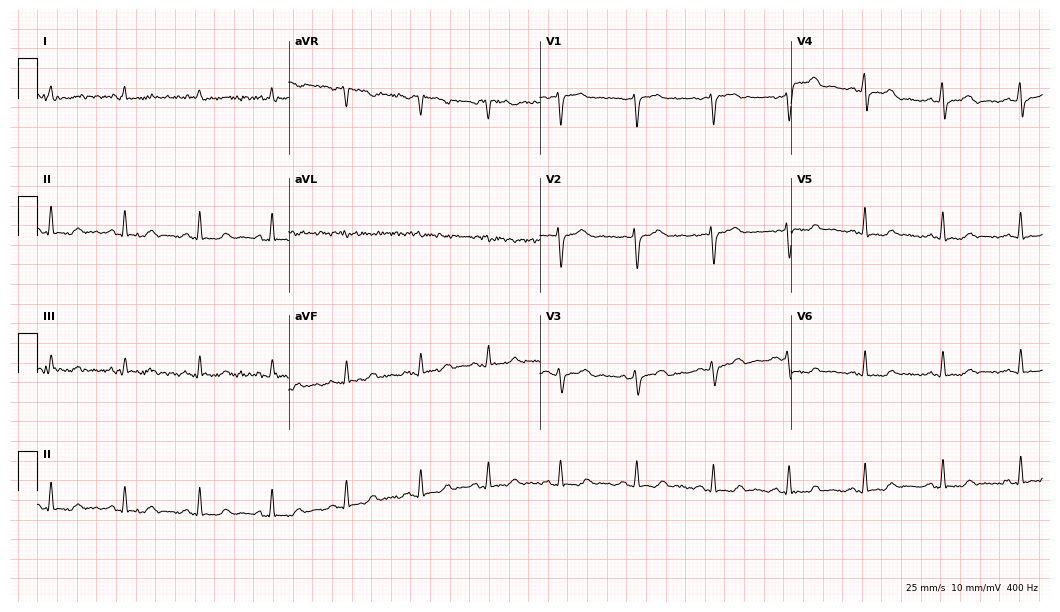
12-lead ECG from a 48-year-old female patient (10.2-second recording at 400 Hz). Recorded interpretation: within normal limits.